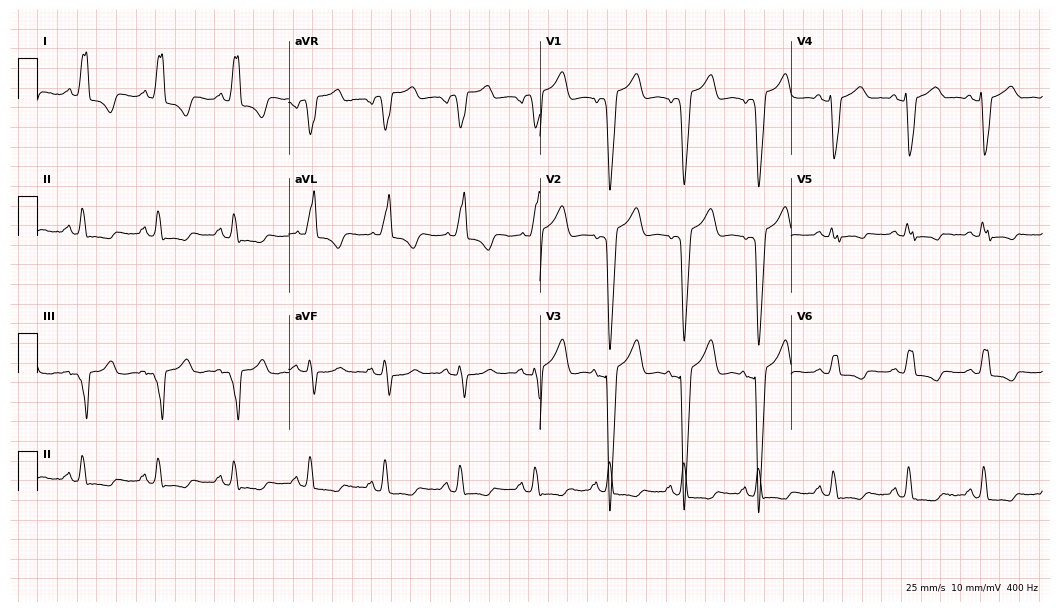
Electrocardiogram (10.2-second recording at 400 Hz), a 58-year-old female. Interpretation includes left bundle branch block (LBBB).